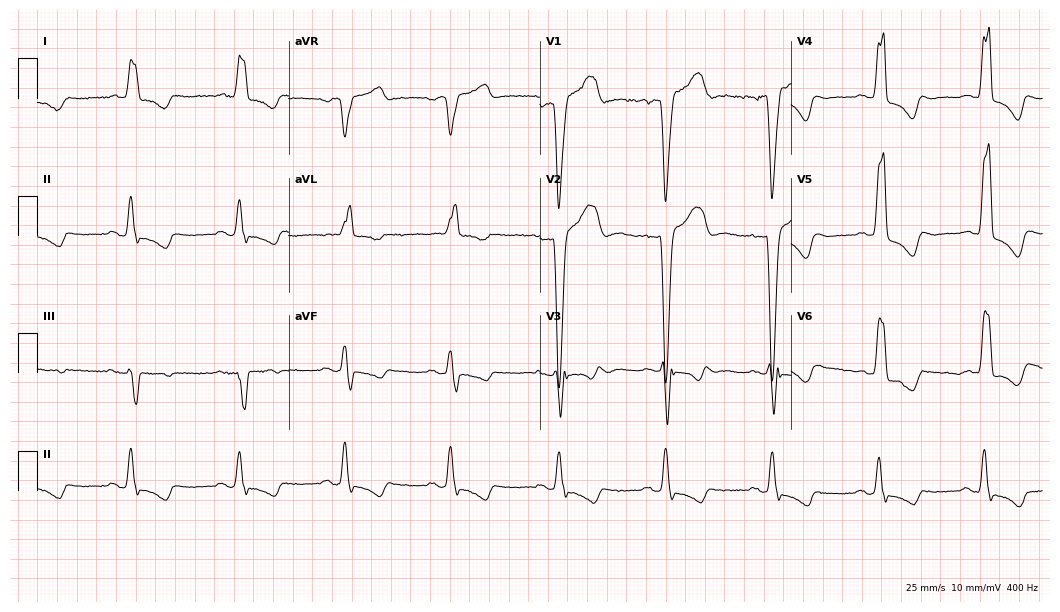
Electrocardiogram, a 66-year-old male. Interpretation includes left bundle branch block.